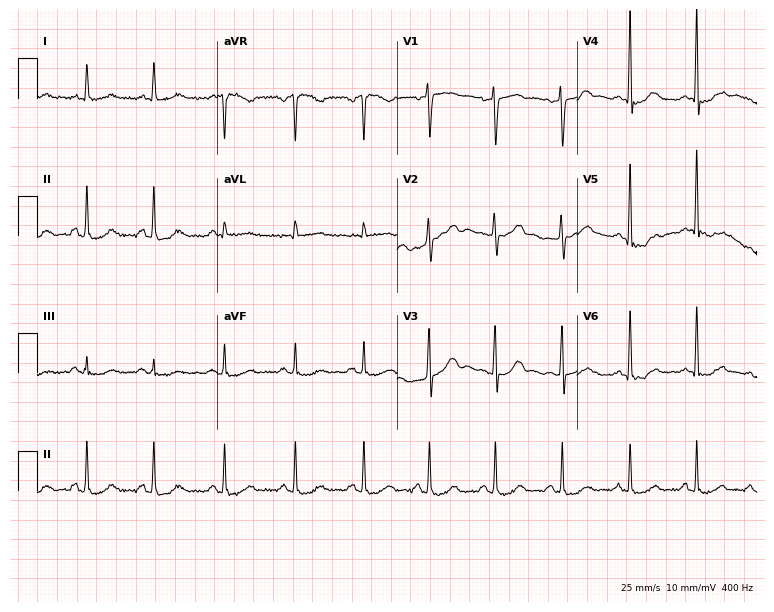
12-lead ECG from a 43-year-old female patient. No first-degree AV block, right bundle branch block, left bundle branch block, sinus bradycardia, atrial fibrillation or sinus tachycardia recorded for this tracing.